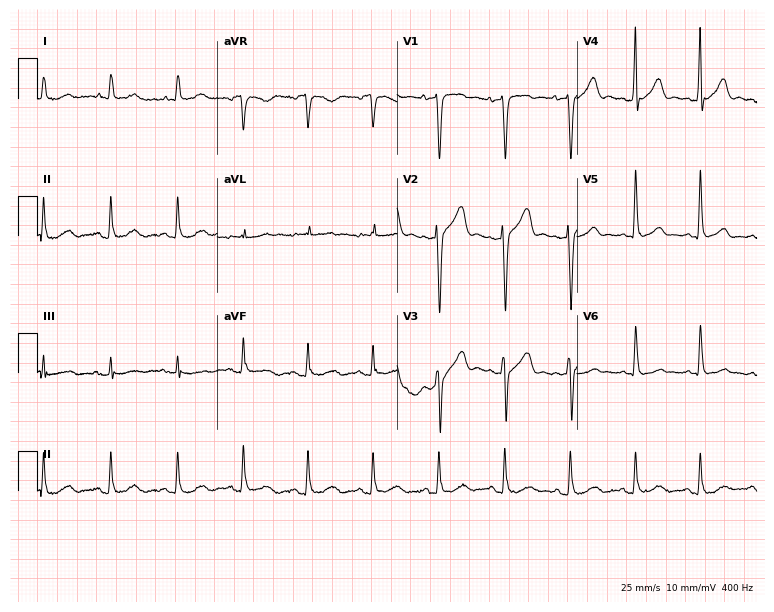
ECG — a male, 58 years old. Screened for six findings — first-degree AV block, right bundle branch block (RBBB), left bundle branch block (LBBB), sinus bradycardia, atrial fibrillation (AF), sinus tachycardia — none is recorded. Other findings, if any, are not listed.